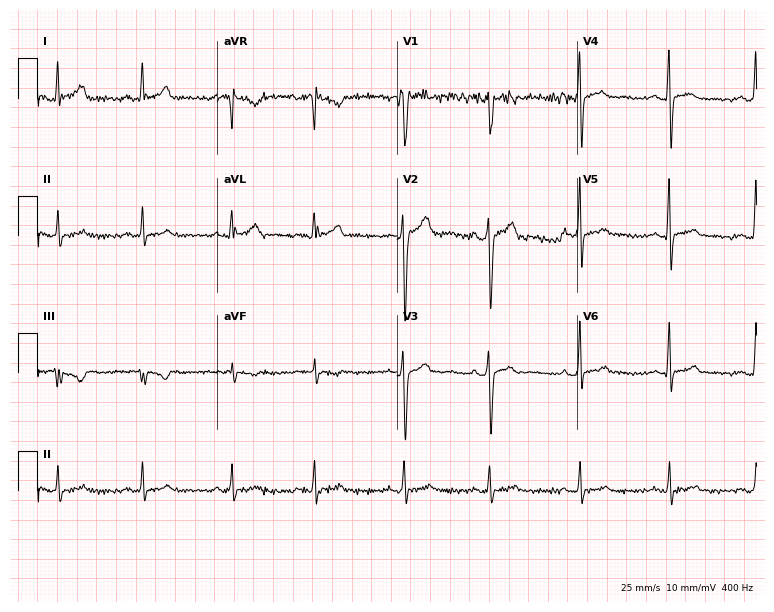
Standard 12-lead ECG recorded from a man, 21 years old. None of these six findings is recorded: first-degree AV block, right bundle branch block (RBBB), left bundle branch block (LBBB), sinus bradycardia, atrial fibrillation (AF), sinus tachycardia. Only these six findings were labelled.